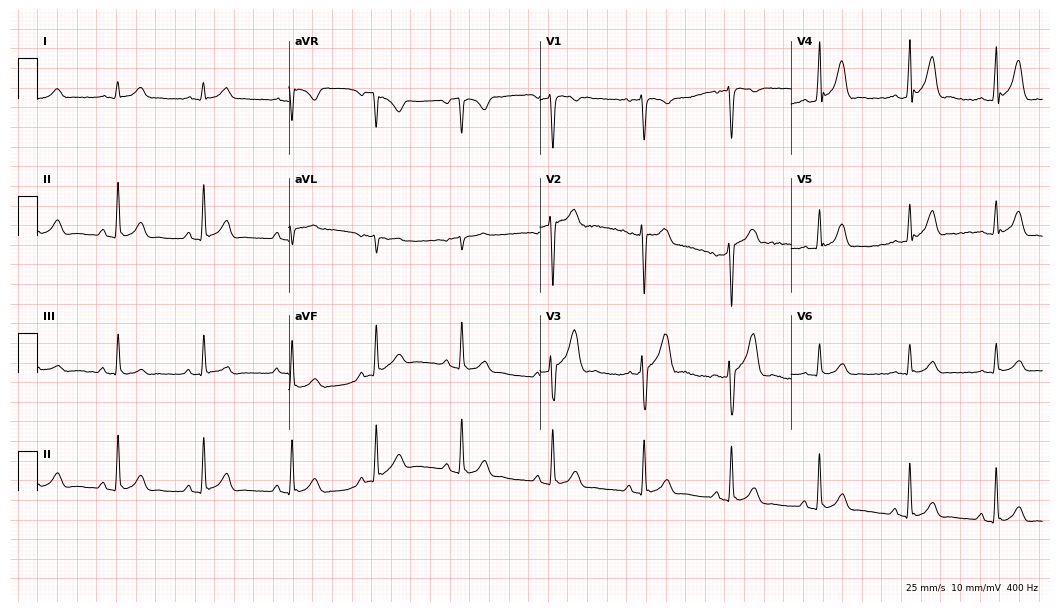
12-lead ECG from a 30-year-old man. Labelled as a normal ECG.